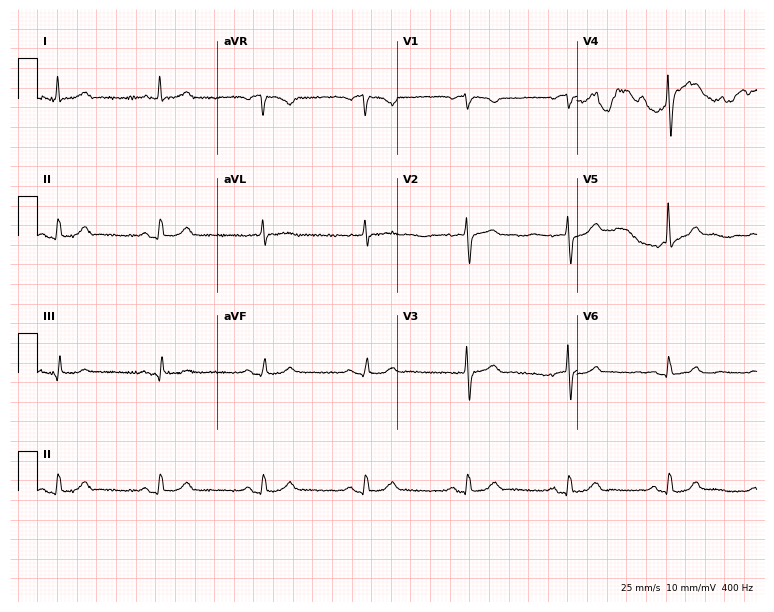
ECG (7.3-second recording at 400 Hz) — a male patient, 77 years old. Labelled as a normal ECG.